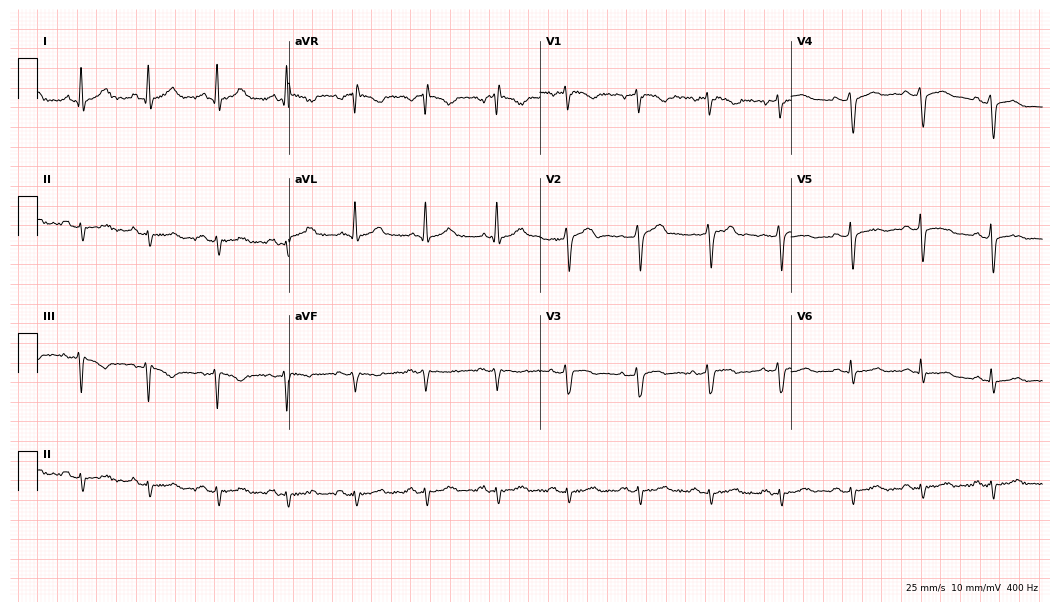
Resting 12-lead electrocardiogram (10.2-second recording at 400 Hz). Patient: a male, 59 years old. None of these six findings is recorded: first-degree AV block, right bundle branch block (RBBB), left bundle branch block (LBBB), sinus bradycardia, atrial fibrillation (AF), sinus tachycardia.